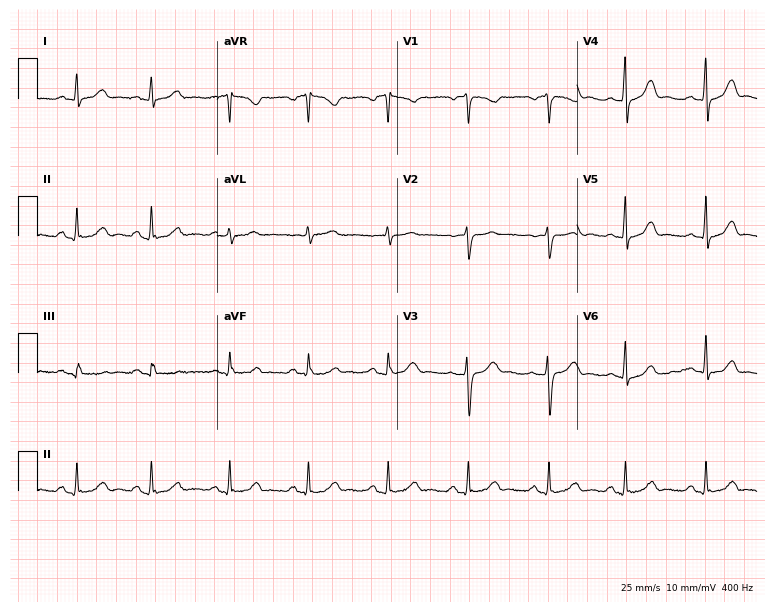
Resting 12-lead electrocardiogram (7.3-second recording at 400 Hz). Patient: a woman, 33 years old. Read as a normal ECG.